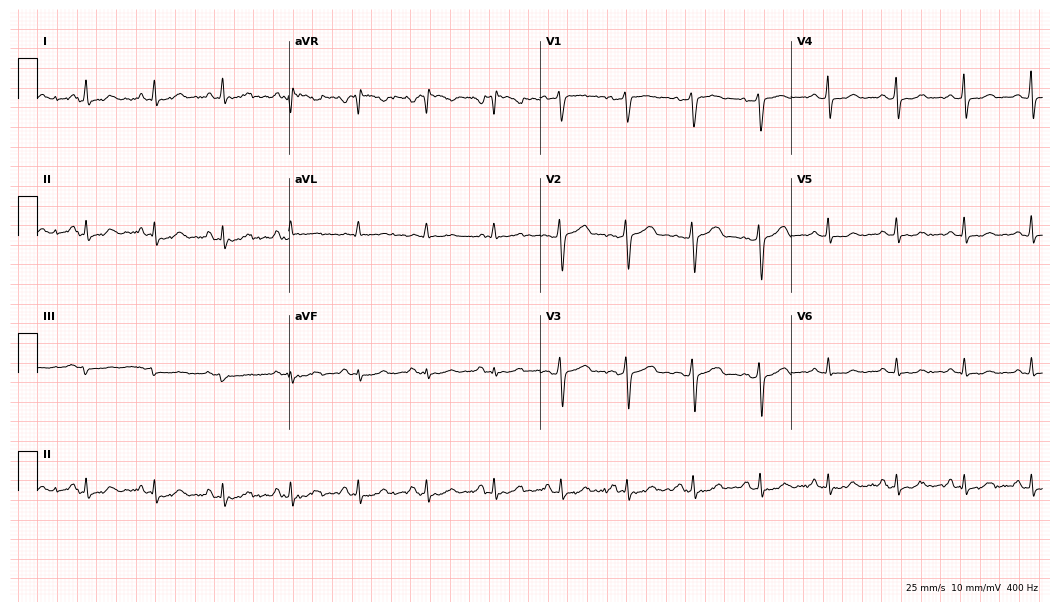
Resting 12-lead electrocardiogram. Patient: a woman, 45 years old. Read as a normal ECG.